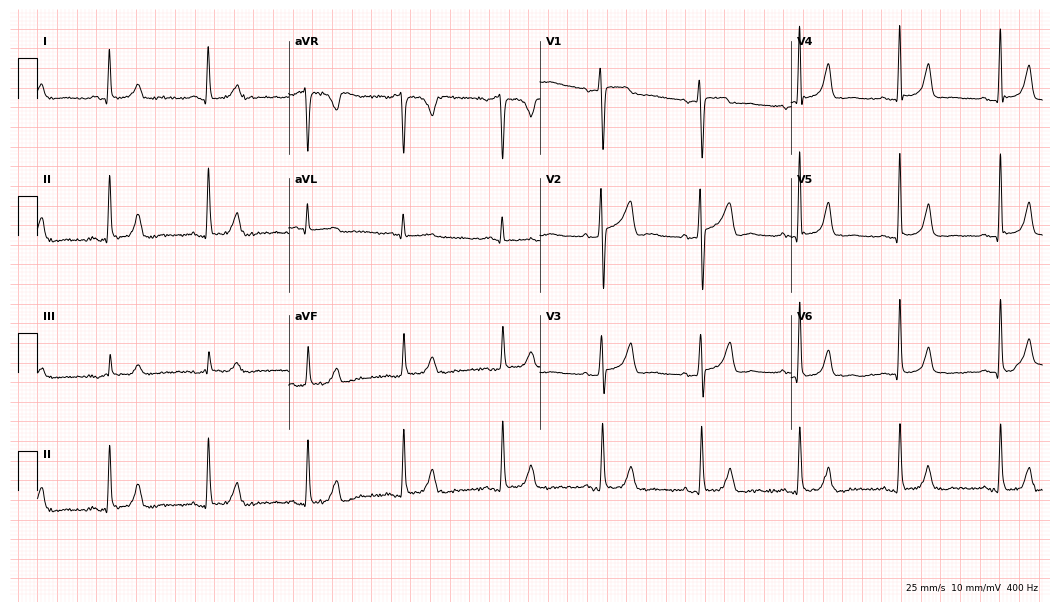
ECG — a woman, 71 years old. Screened for six findings — first-degree AV block, right bundle branch block, left bundle branch block, sinus bradycardia, atrial fibrillation, sinus tachycardia — none is recorded.